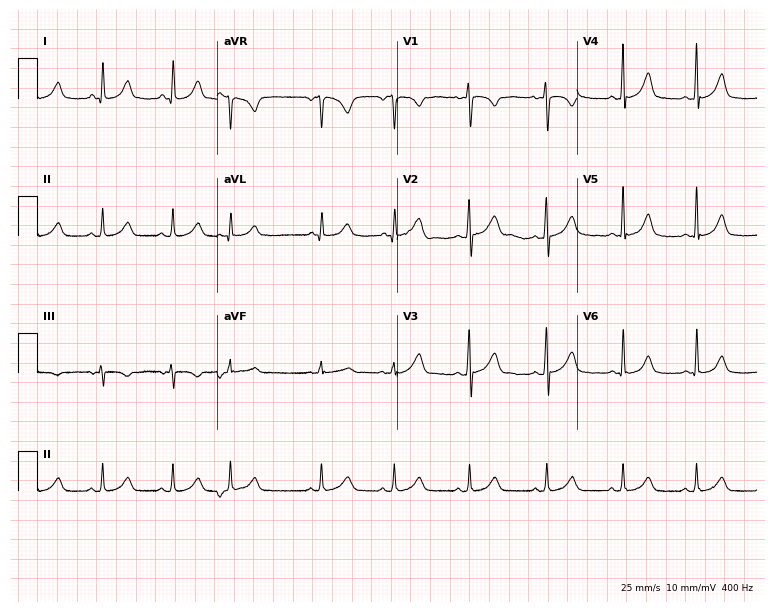
Resting 12-lead electrocardiogram (7.3-second recording at 400 Hz). Patient: a 31-year-old female. Read as a normal ECG.